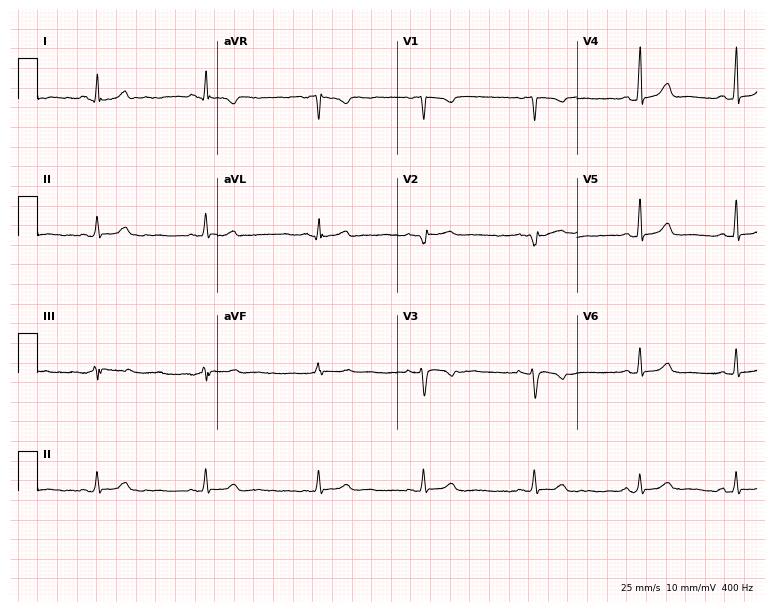
12-lead ECG from a 23-year-old female. No first-degree AV block, right bundle branch block, left bundle branch block, sinus bradycardia, atrial fibrillation or sinus tachycardia recorded for this tracing.